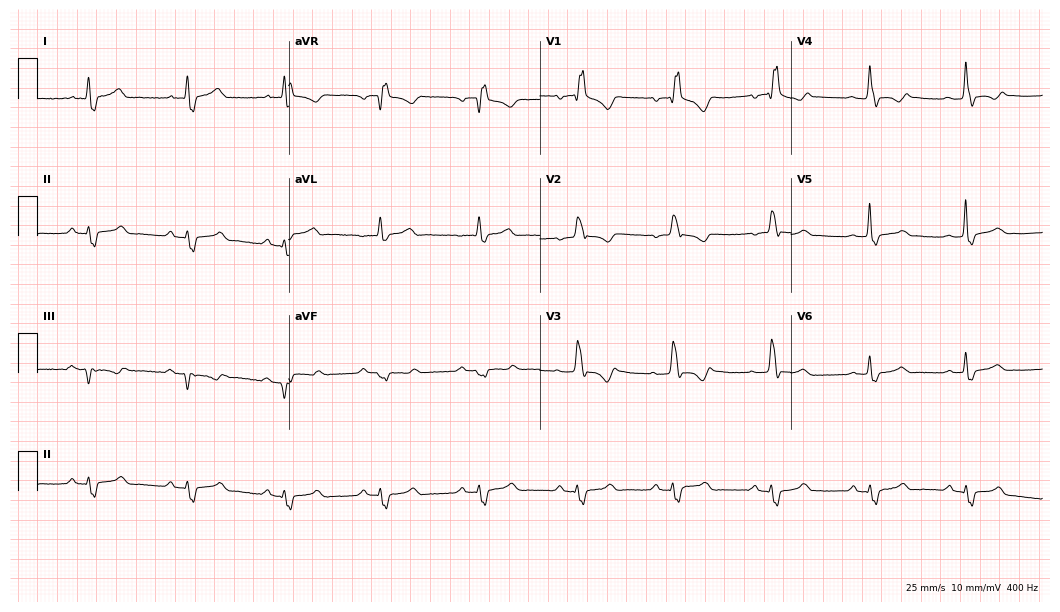
12-lead ECG (10.2-second recording at 400 Hz) from a woman, 50 years old. Findings include right bundle branch block.